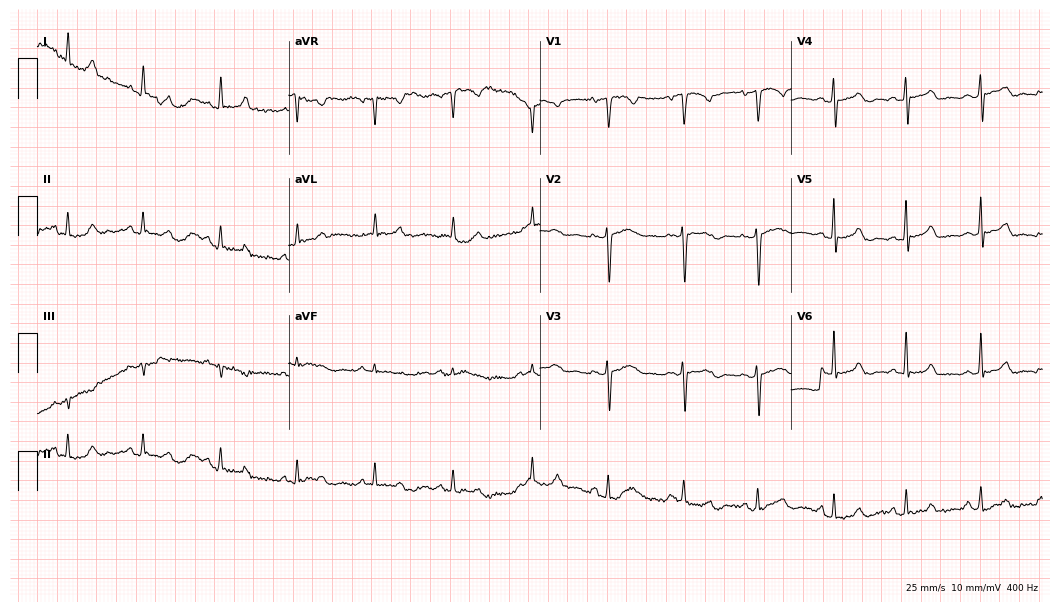
12-lead ECG from a 67-year-old female. Labelled as a normal ECG.